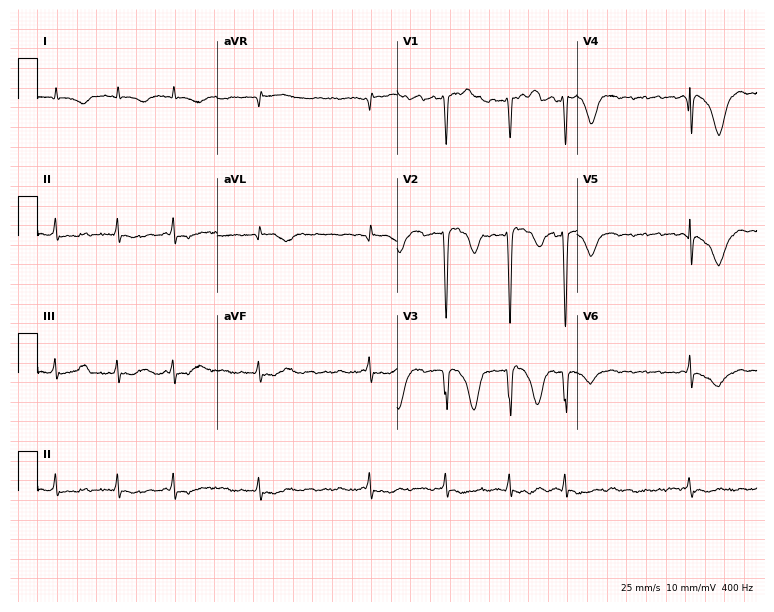
Electrocardiogram (7.3-second recording at 400 Hz), a 69-year-old male. Interpretation includes atrial fibrillation.